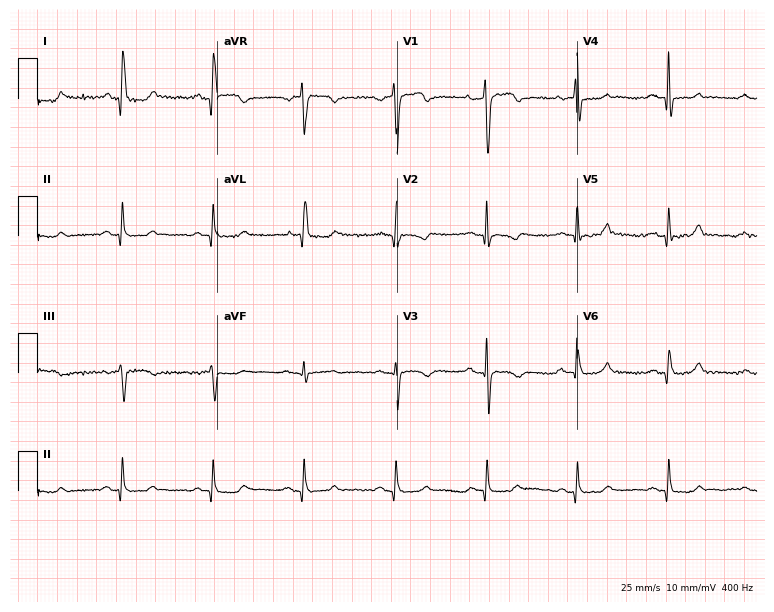
12-lead ECG from a 79-year-old female patient. Recorded interpretation: within normal limits.